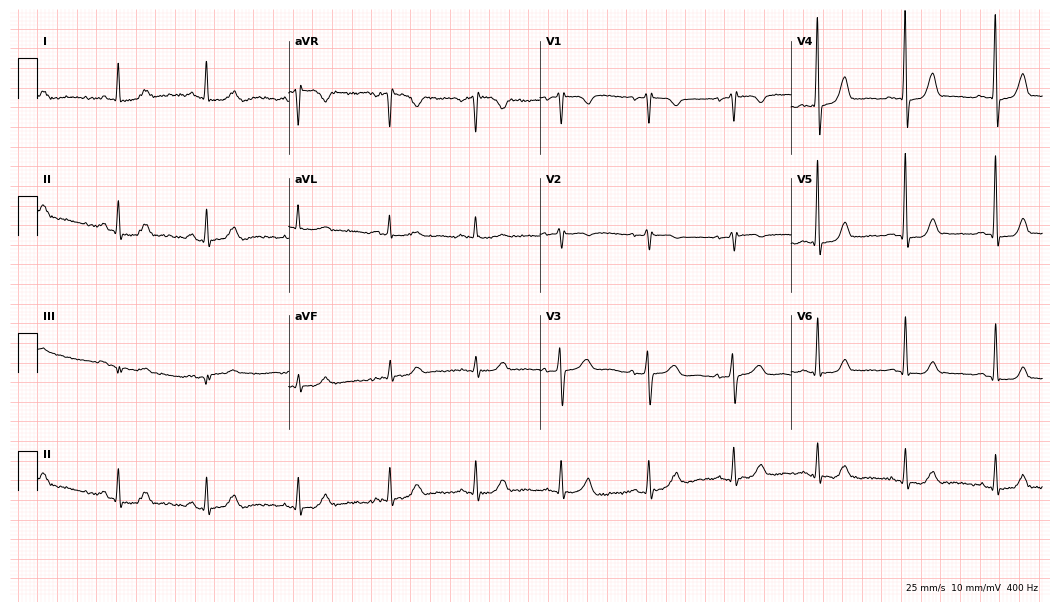
Standard 12-lead ECG recorded from a 64-year-old woman. Read as a normal ECG.